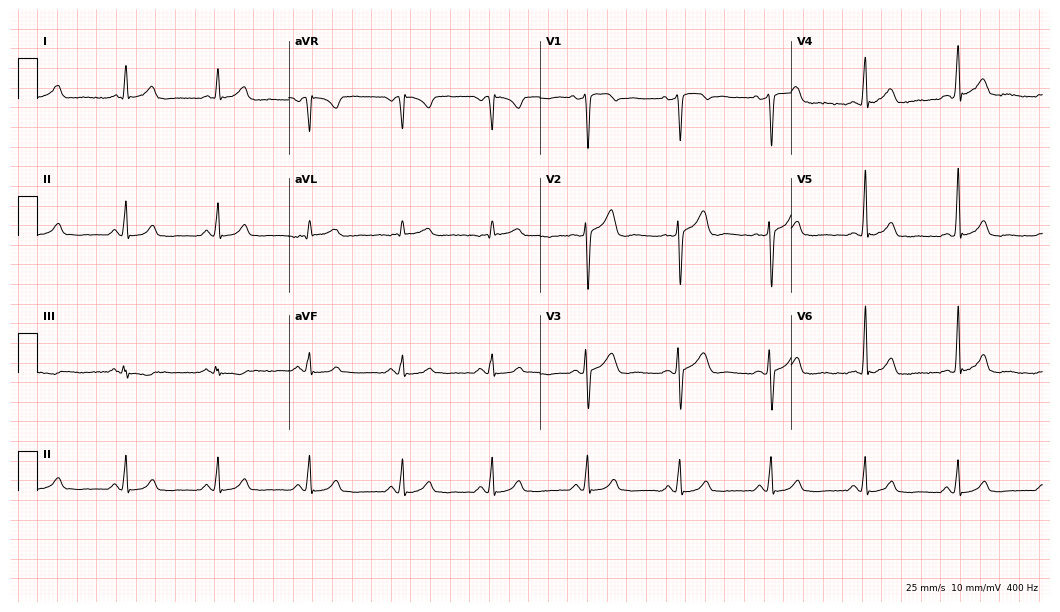
Standard 12-lead ECG recorded from a male, 37 years old. Read as a normal ECG.